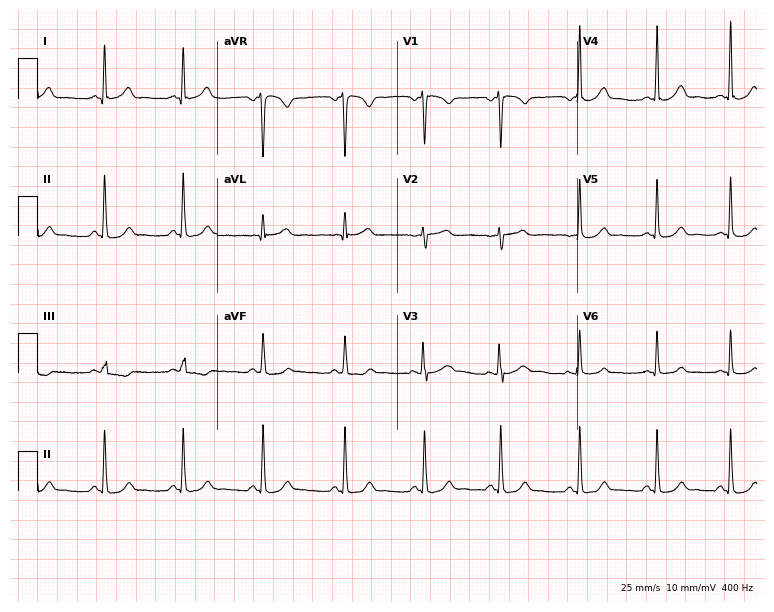
Resting 12-lead electrocardiogram. Patient: a 27-year-old female. Read as a normal ECG.